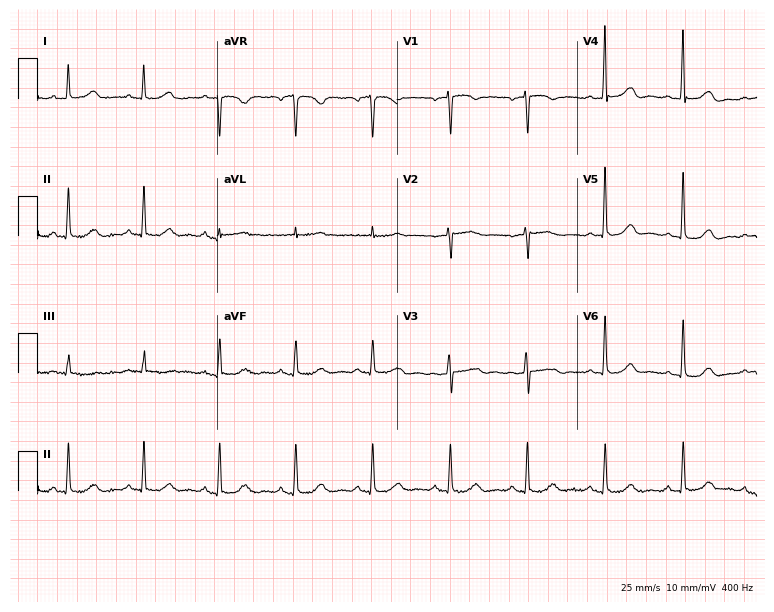
ECG — a 69-year-old woman. Labelled as a normal ECG.